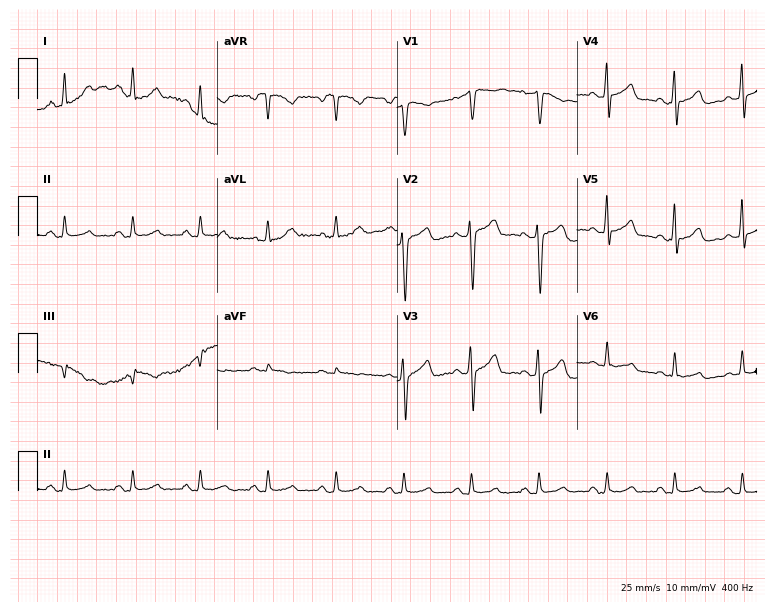
ECG — a woman, 39 years old. Screened for six findings — first-degree AV block, right bundle branch block, left bundle branch block, sinus bradycardia, atrial fibrillation, sinus tachycardia — none is recorded.